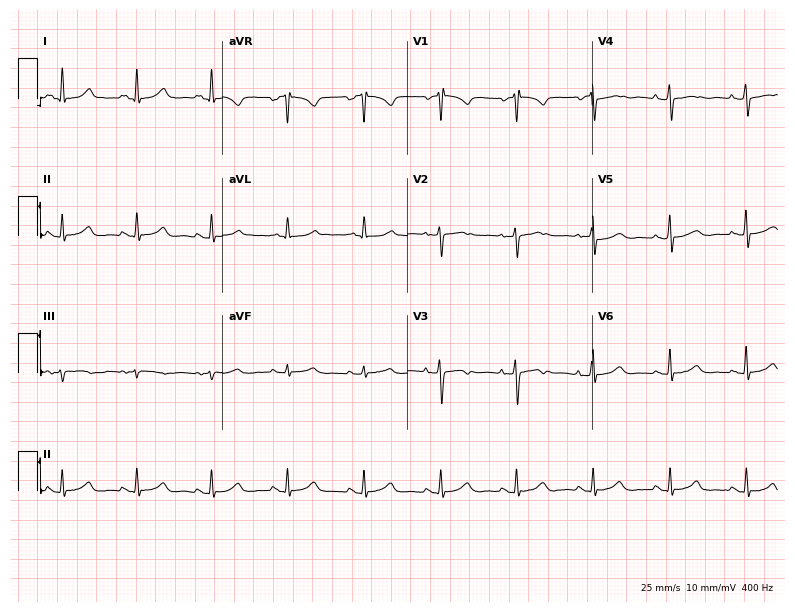
ECG (7.5-second recording at 400 Hz) — a woman, 56 years old. Labelled as a normal ECG.